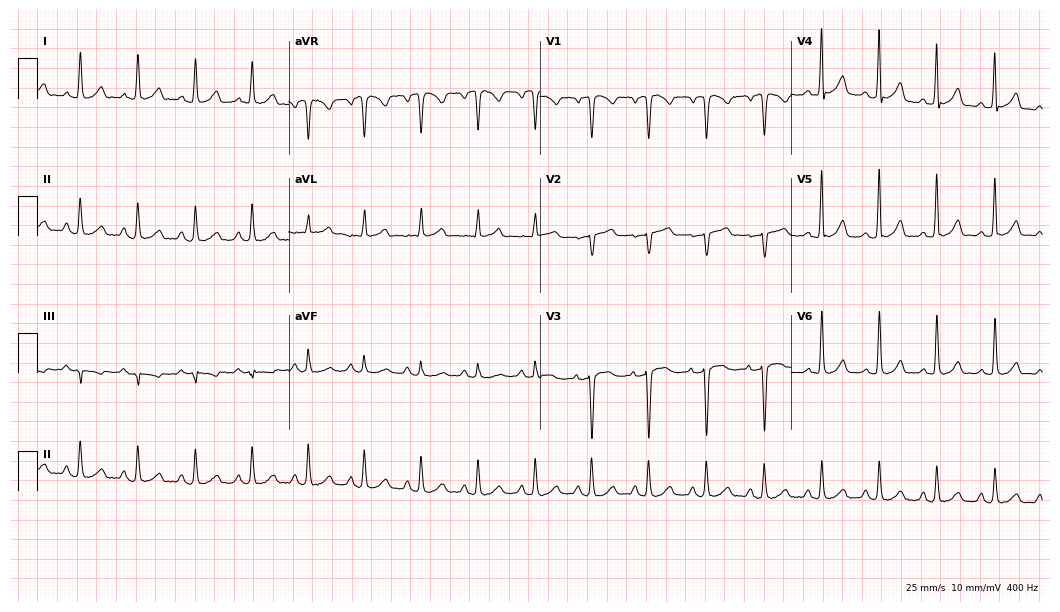
12-lead ECG from a female patient, 68 years old (10.2-second recording at 400 Hz). Shows sinus tachycardia (a sinus rate of 100 beats per minute or more).